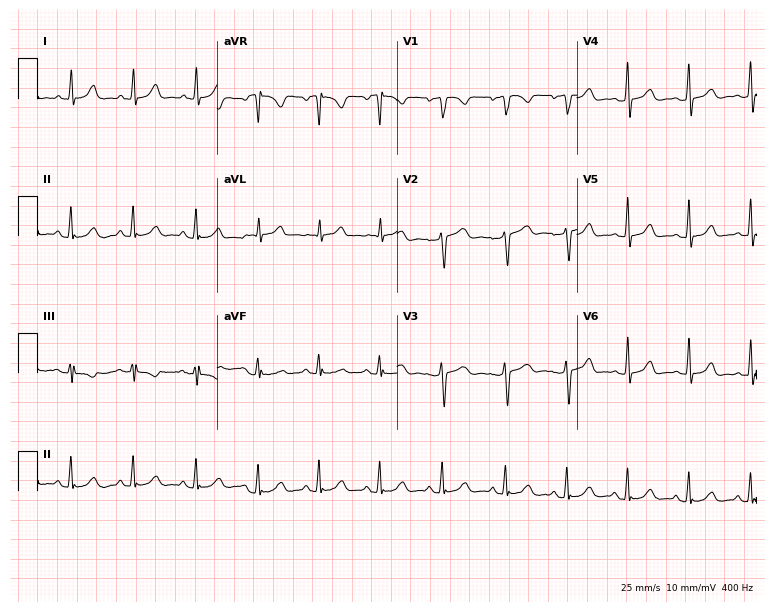
ECG (7.3-second recording at 400 Hz) — a 42-year-old female. Screened for six findings — first-degree AV block, right bundle branch block, left bundle branch block, sinus bradycardia, atrial fibrillation, sinus tachycardia — none is recorded.